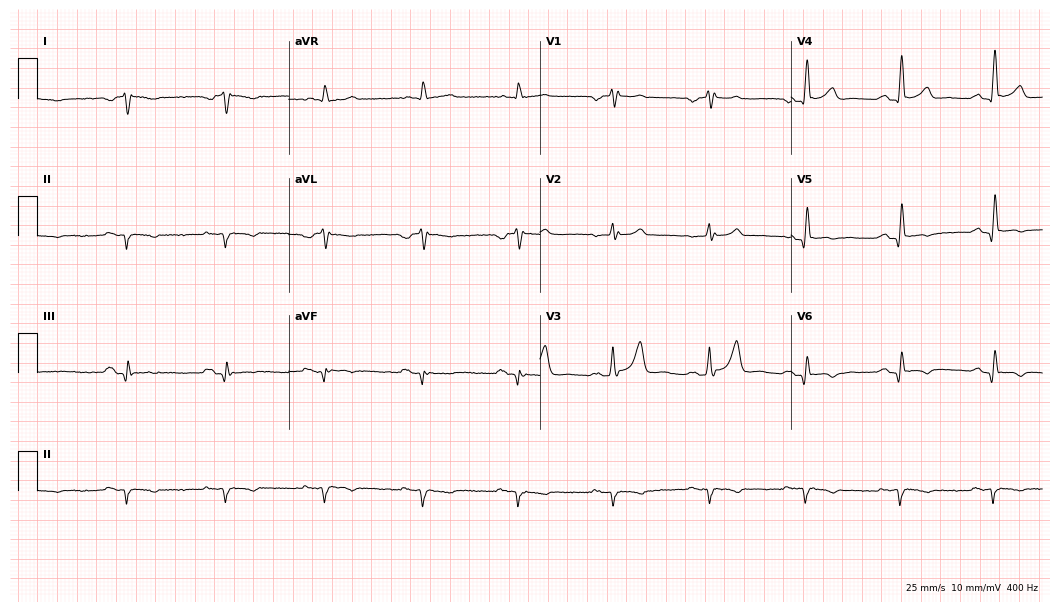
Resting 12-lead electrocardiogram. Patient: a 54-year-old male. None of these six findings is recorded: first-degree AV block, right bundle branch block, left bundle branch block, sinus bradycardia, atrial fibrillation, sinus tachycardia.